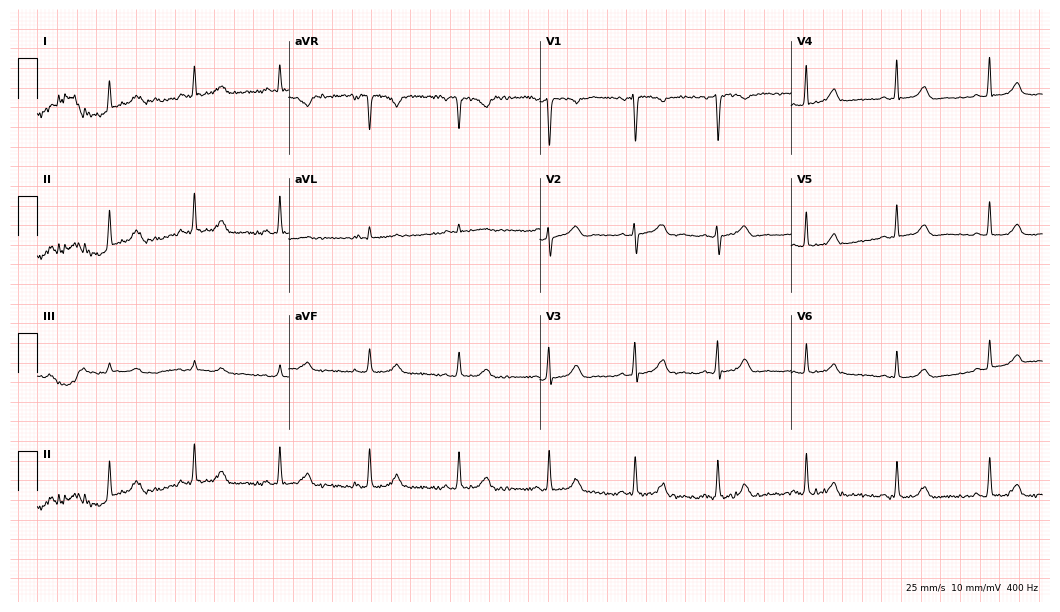
12-lead ECG from a female, 35 years old. Recorded interpretation: within normal limits.